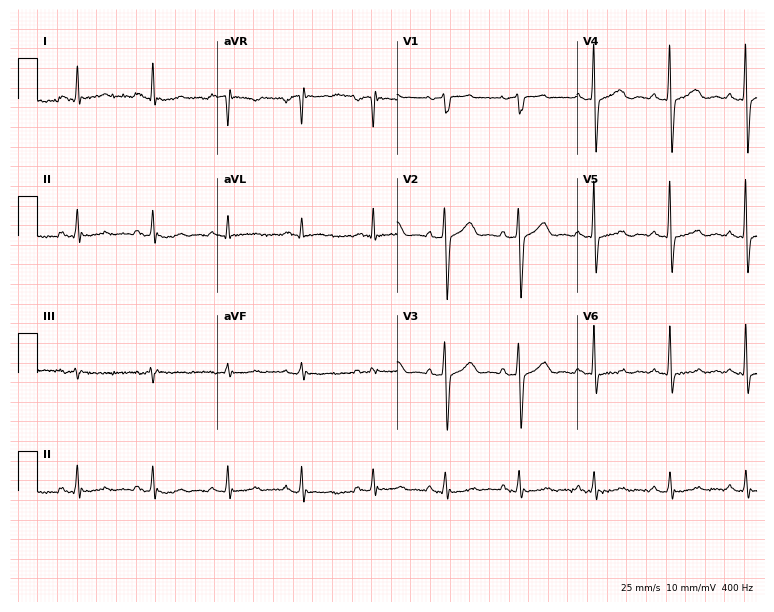
Standard 12-lead ECG recorded from a 75-year-old male patient. None of these six findings is recorded: first-degree AV block, right bundle branch block (RBBB), left bundle branch block (LBBB), sinus bradycardia, atrial fibrillation (AF), sinus tachycardia.